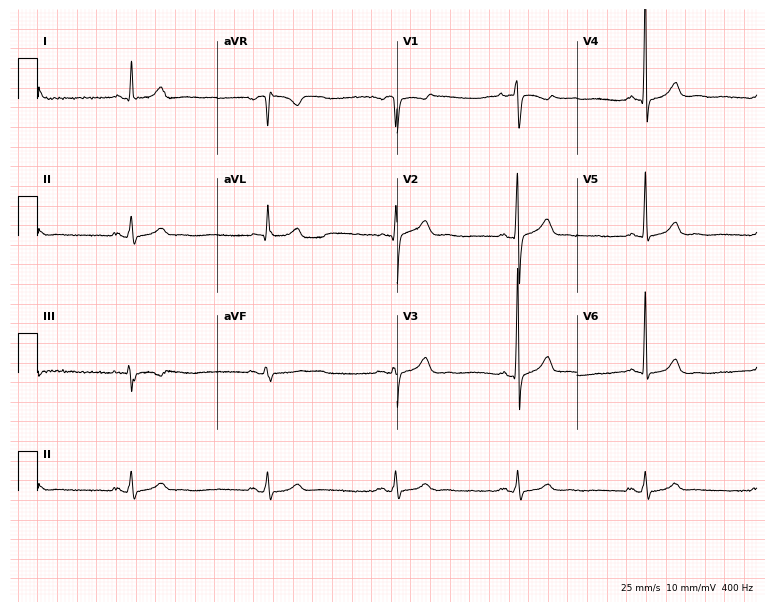
12-lead ECG from a man, 68 years old. Shows sinus bradycardia (a sinus rate of 50 beats per minute or less).